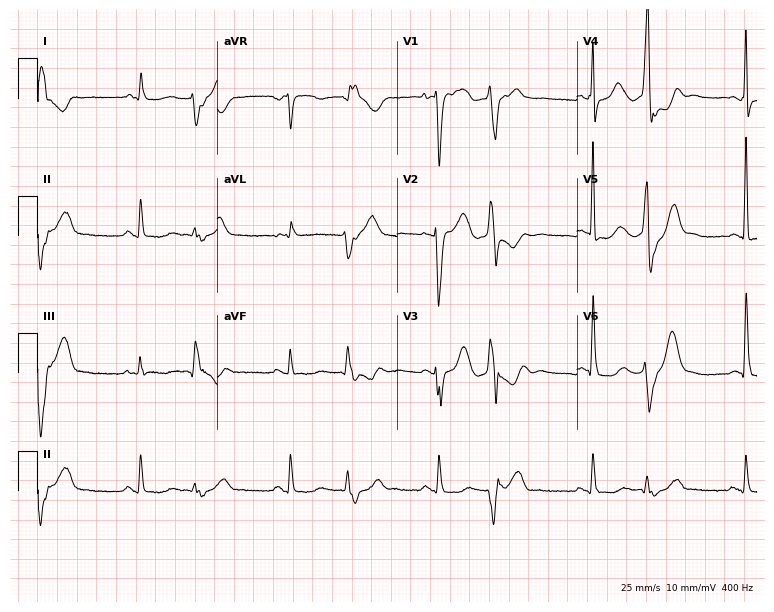
12-lead ECG (7.3-second recording at 400 Hz) from a 63-year-old female patient. Screened for six findings — first-degree AV block, right bundle branch block, left bundle branch block, sinus bradycardia, atrial fibrillation, sinus tachycardia — none is recorded. Only these six findings were labelled.